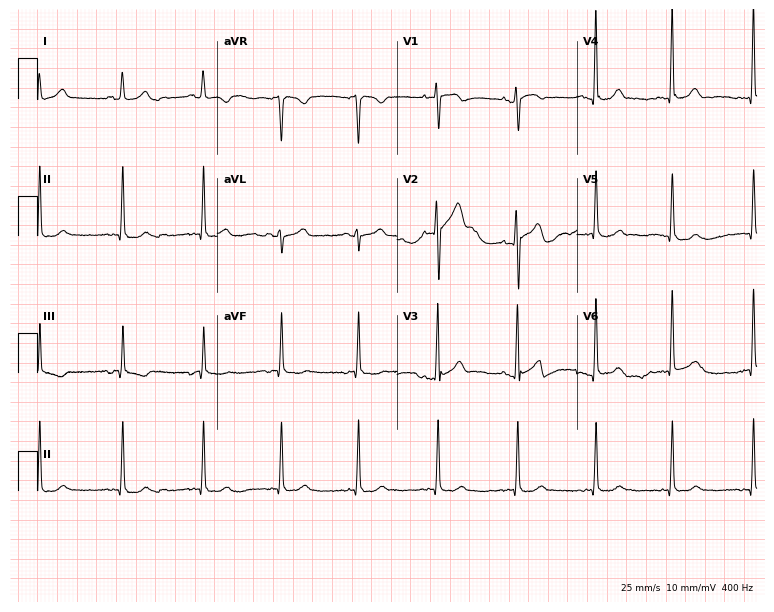
Standard 12-lead ECG recorded from a female, 52 years old. Read as a normal ECG.